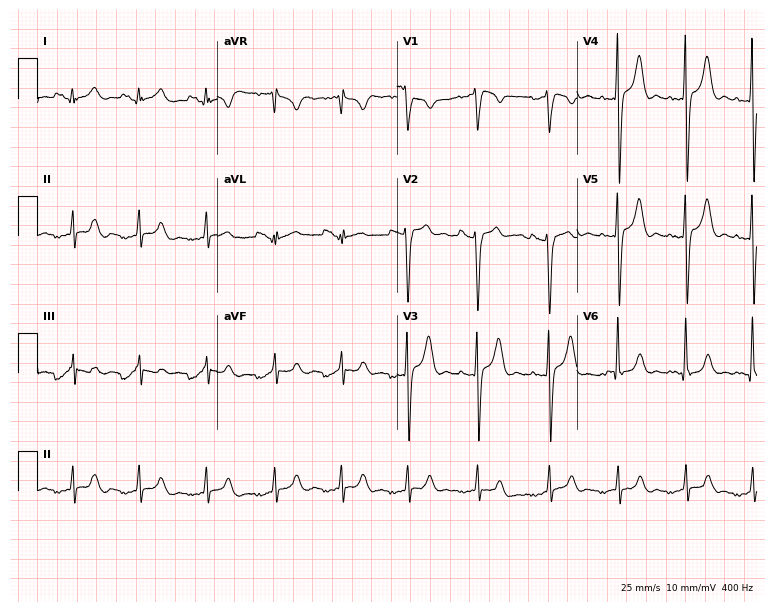
Electrocardiogram, a 39-year-old male patient. Of the six screened findings (first-degree AV block, right bundle branch block, left bundle branch block, sinus bradycardia, atrial fibrillation, sinus tachycardia), none is recorded.